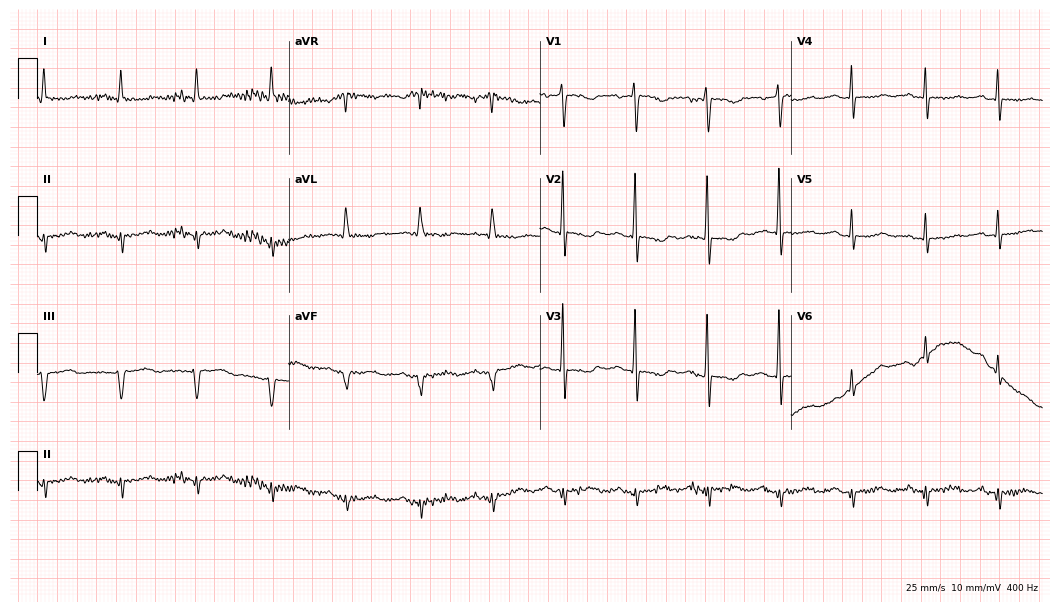
Electrocardiogram (10.2-second recording at 400 Hz), a 54-year-old woman. Of the six screened findings (first-degree AV block, right bundle branch block, left bundle branch block, sinus bradycardia, atrial fibrillation, sinus tachycardia), none is recorded.